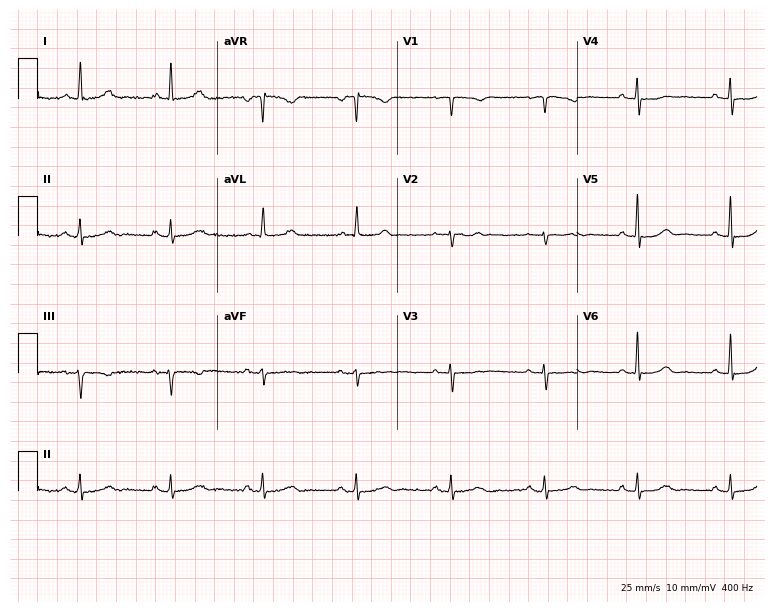
Standard 12-lead ECG recorded from a 72-year-old female. None of these six findings is recorded: first-degree AV block, right bundle branch block, left bundle branch block, sinus bradycardia, atrial fibrillation, sinus tachycardia.